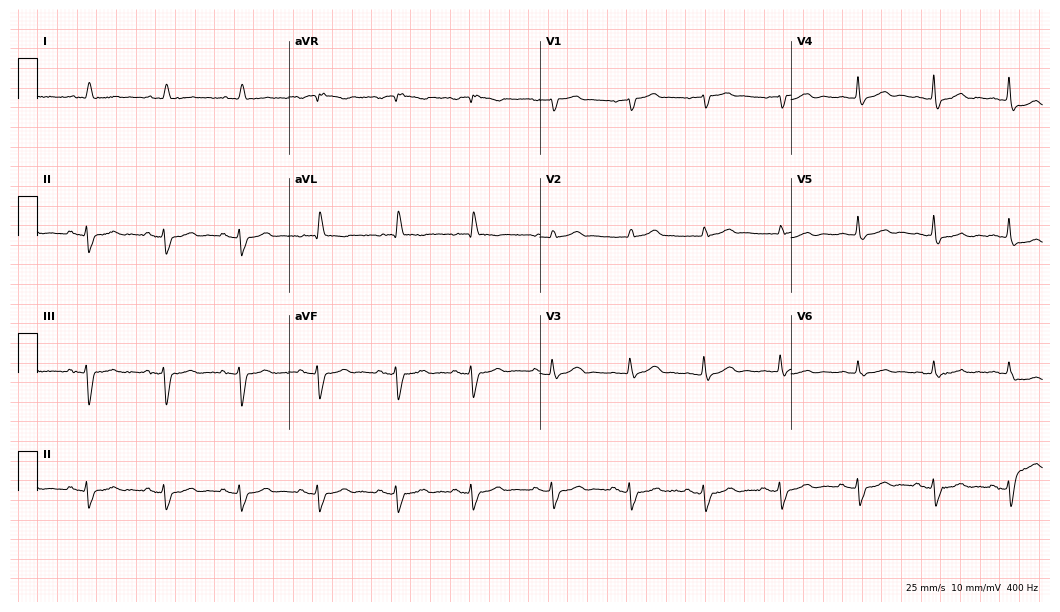
Electrocardiogram (10.2-second recording at 400 Hz), a 77-year-old female patient. Of the six screened findings (first-degree AV block, right bundle branch block, left bundle branch block, sinus bradycardia, atrial fibrillation, sinus tachycardia), none is recorded.